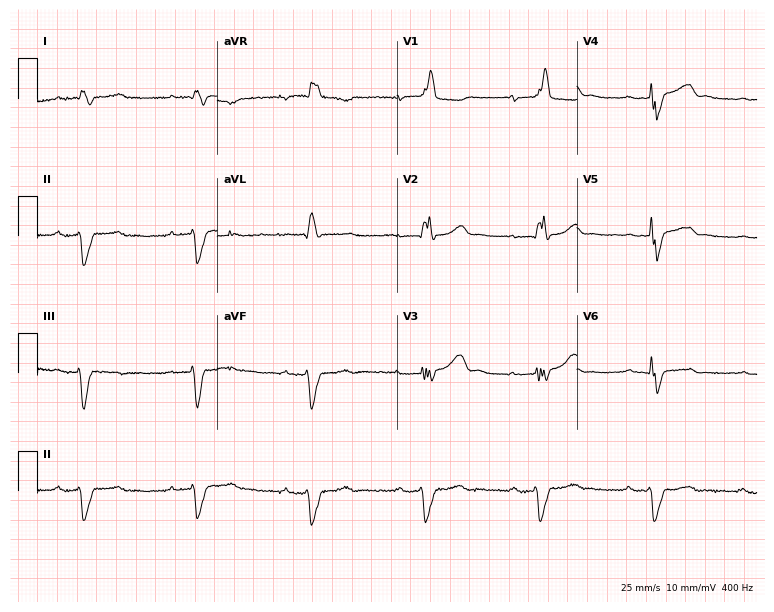
Standard 12-lead ECG recorded from a 53-year-old male patient. The tracing shows first-degree AV block, right bundle branch block.